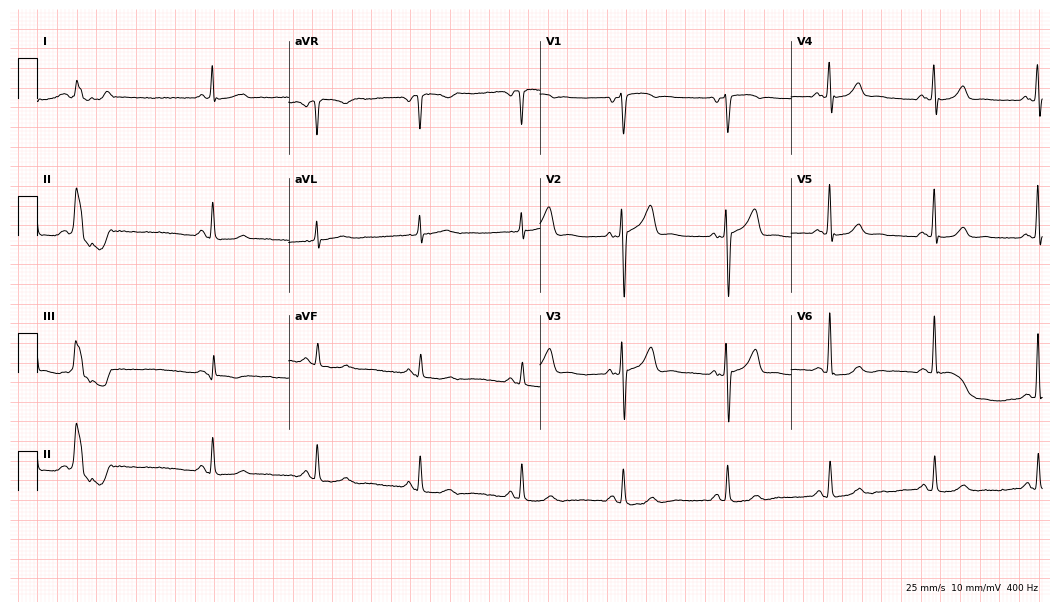
Resting 12-lead electrocardiogram. Patient: a male, 62 years old. The tracing shows sinus bradycardia (a sinus rate of 50 beats per minute or less).